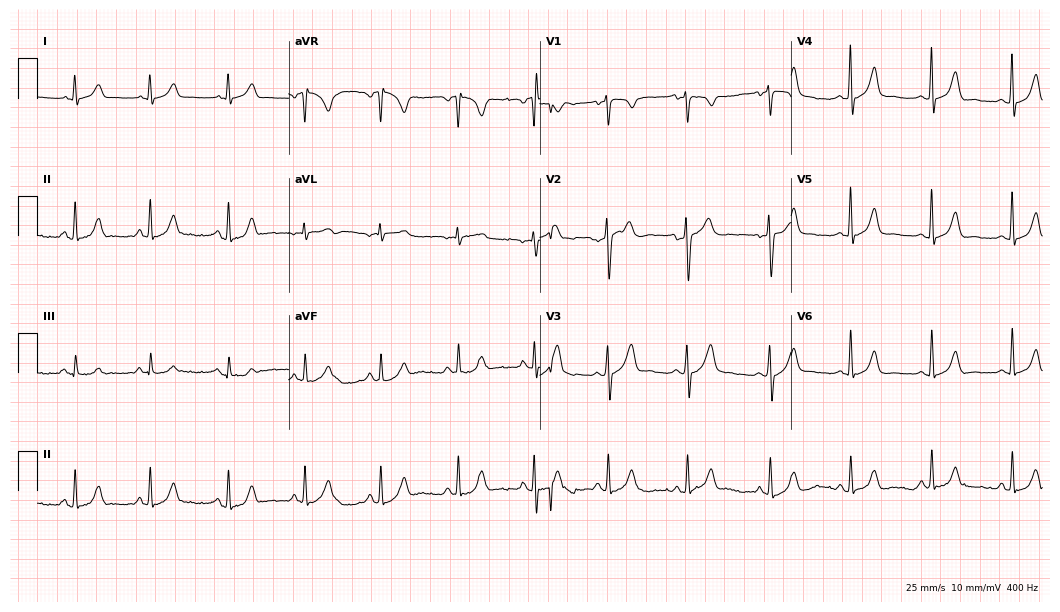
ECG (10.2-second recording at 400 Hz) — a 27-year-old female. Screened for six findings — first-degree AV block, right bundle branch block, left bundle branch block, sinus bradycardia, atrial fibrillation, sinus tachycardia — none is recorded. Only these six findings were labelled.